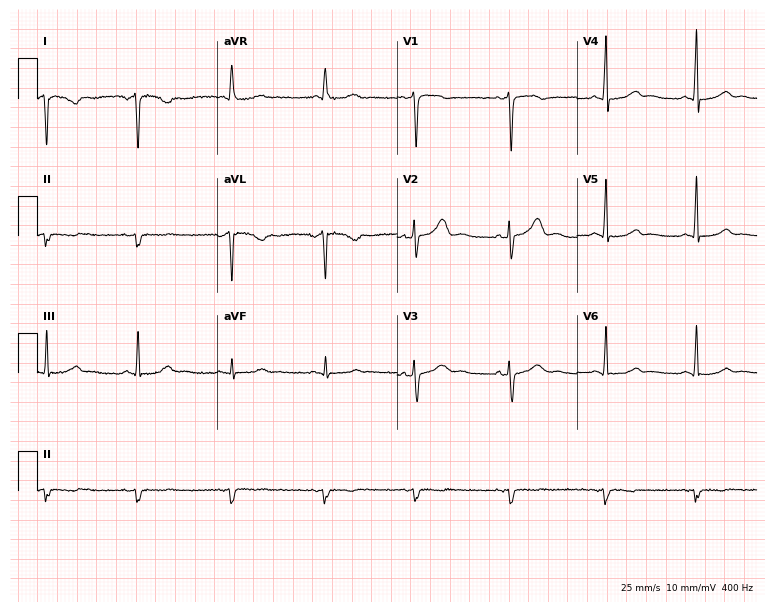
Standard 12-lead ECG recorded from a 50-year-old female patient. None of these six findings is recorded: first-degree AV block, right bundle branch block (RBBB), left bundle branch block (LBBB), sinus bradycardia, atrial fibrillation (AF), sinus tachycardia.